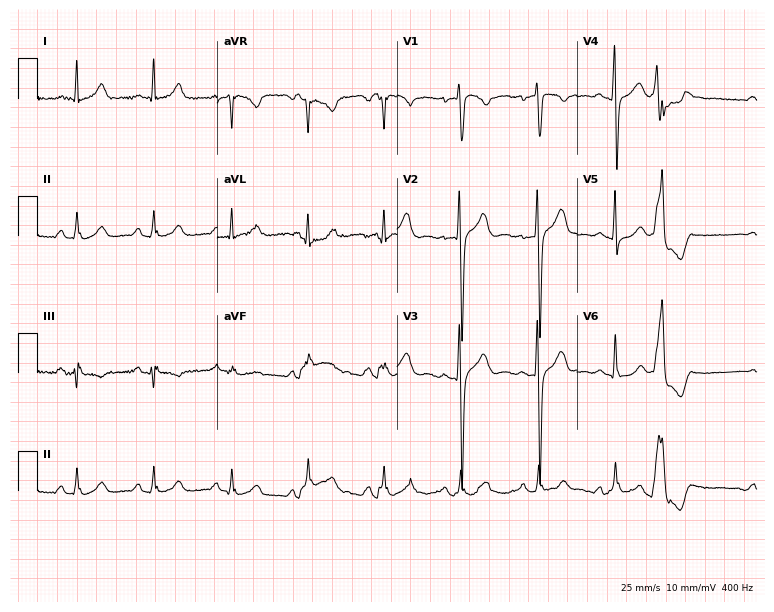
Standard 12-lead ECG recorded from a man, 42 years old. None of these six findings is recorded: first-degree AV block, right bundle branch block (RBBB), left bundle branch block (LBBB), sinus bradycardia, atrial fibrillation (AF), sinus tachycardia. Findings outside these six are not listed.